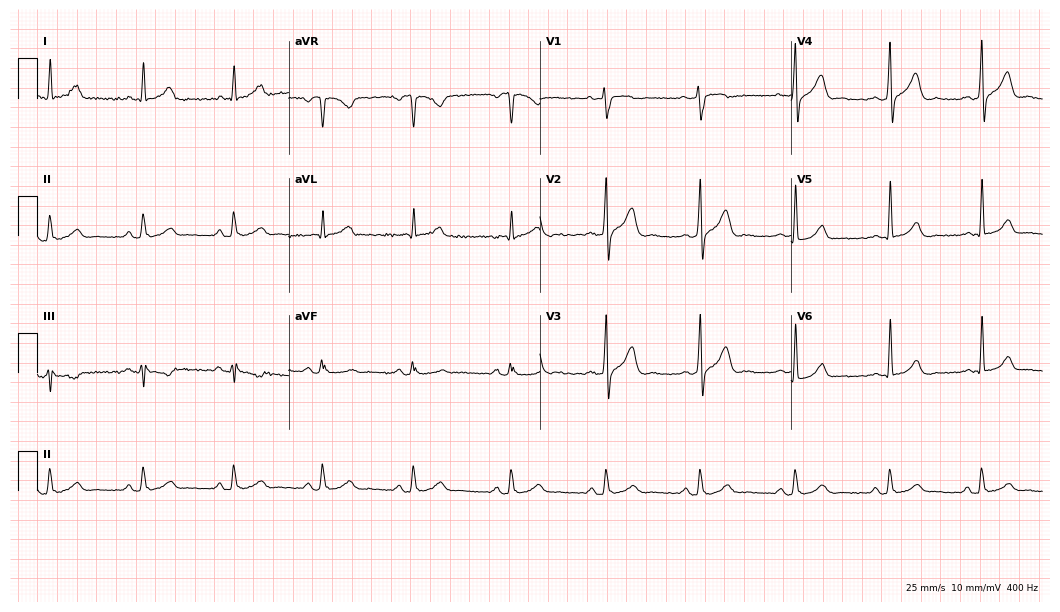
Electrocardiogram, a 39-year-old male patient. Overall reading on record: normal ECG.